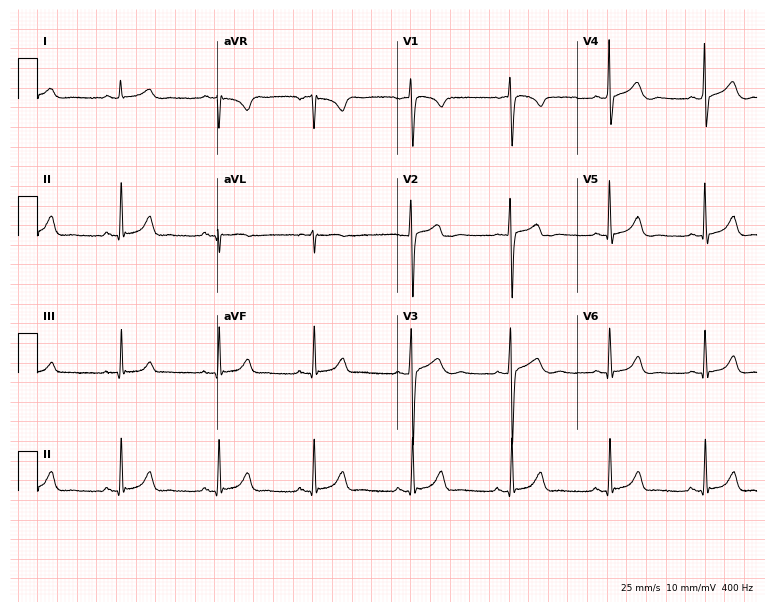
Standard 12-lead ECG recorded from a man, 33 years old. Read as a normal ECG.